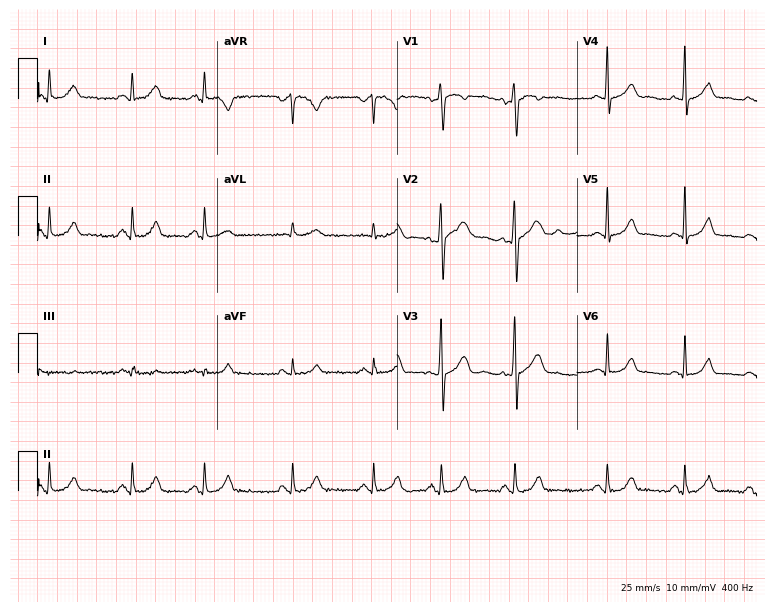
ECG — a female patient, 31 years old. Labelled as a normal ECG.